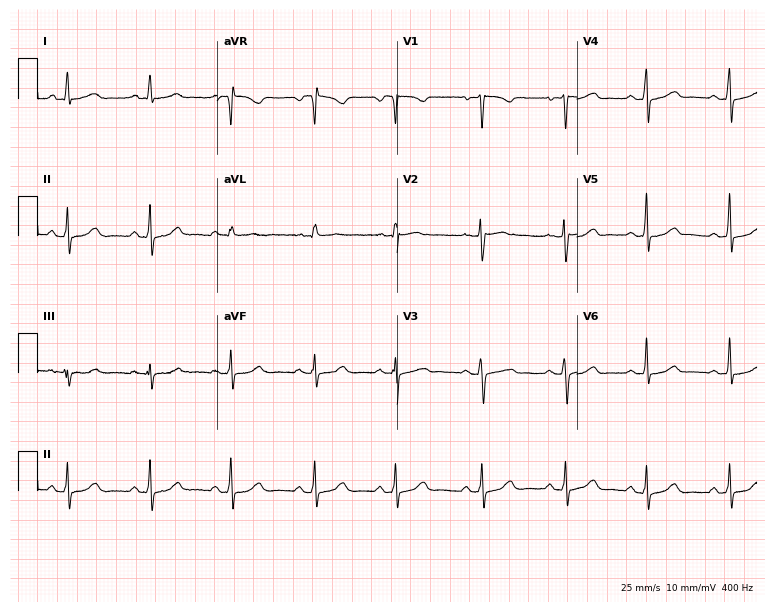
Electrocardiogram, a female, 43 years old. Overall reading on record: normal ECG.